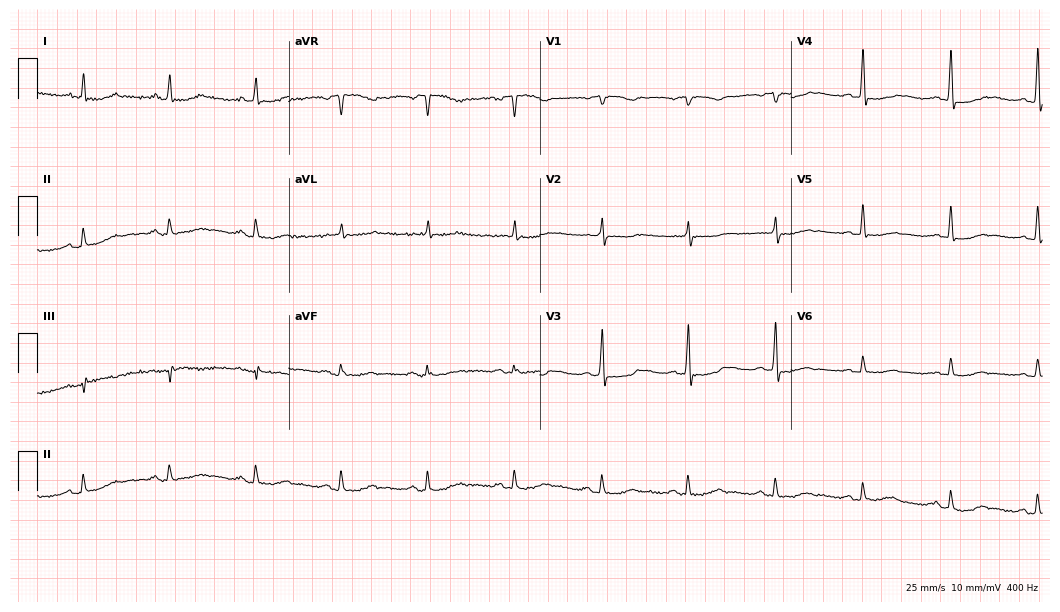
ECG — a 78-year-old female patient. Screened for six findings — first-degree AV block, right bundle branch block, left bundle branch block, sinus bradycardia, atrial fibrillation, sinus tachycardia — none is recorded.